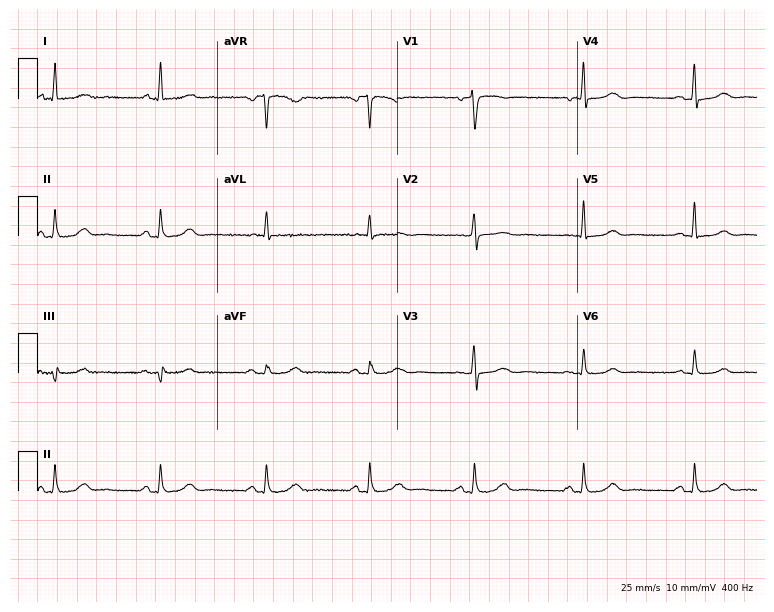
Electrocardiogram (7.3-second recording at 400 Hz), a 61-year-old female. Overall reading on record: normal ECG.